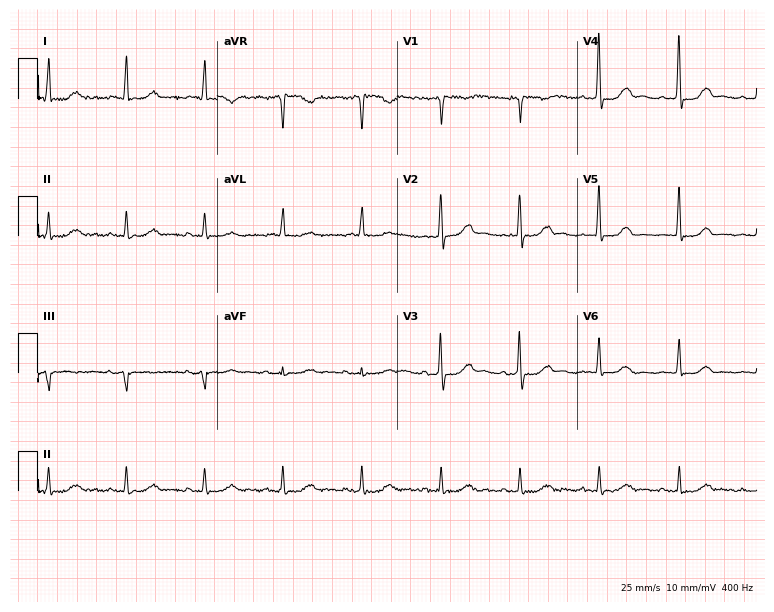
ECG — an 80-year-old female patient. Screened for six findings — first-degree AV block, right bundle branch block, left bundle branch block, sinus bradycardia, atrial fibrillation, sinus tachycardia — none is recorded.